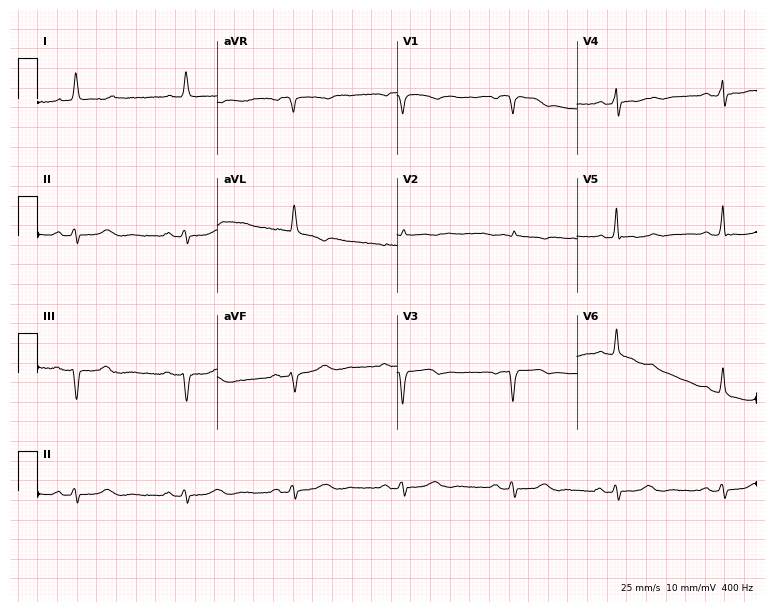
12-lead ECG from a female patient, 68 years old. No first-degree AV block, right bundle branch block (RBBB), left bundle branch block (LBBB), sinus bradycardia, atrial fibrillation (AF) or sinus tachycardia recorded for this tracing.